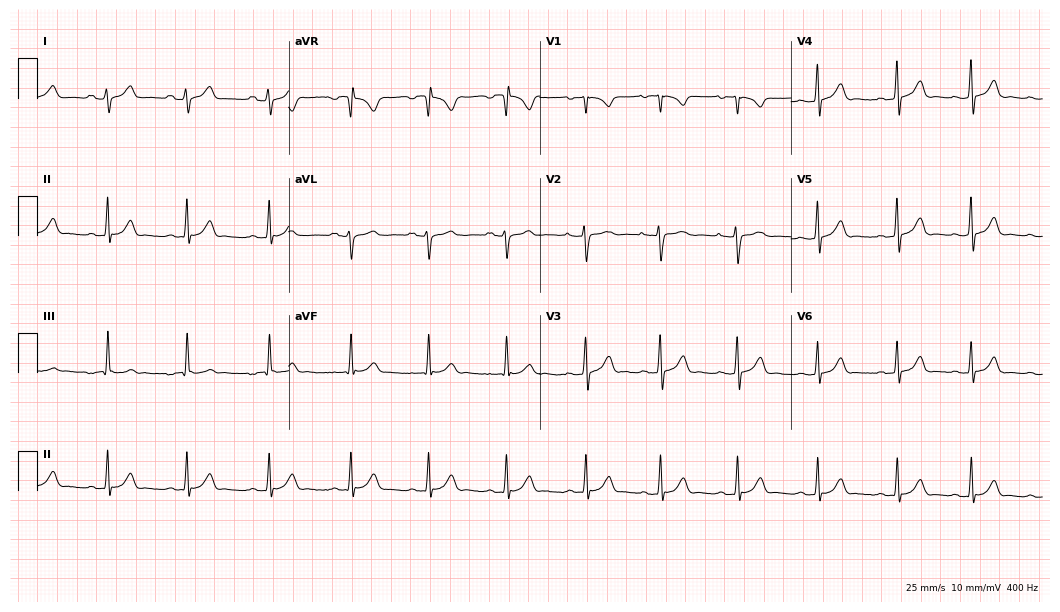
ECG (10.2-second recording at 400 Hz) — a 20-year-old female. Screened for six findings — first-degree AV block, right bundle branch block, left bundle branch block, sinus bradycardia, atrial fibrillation, sinus tachycardia — none is recorded.